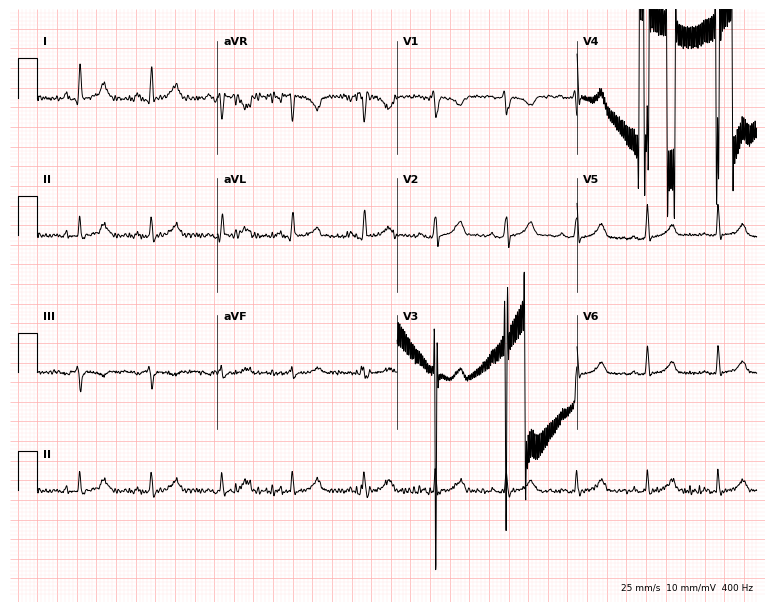
Standard 12-lead ECG recorded from a female patient, 37 years old. None of these six findings is recorded: first-degree AV block, right bundle branch block, left bundle branch block, sinus bradycardia, atrial fibrillation, sinus tachycardia. Only these six findings were labelled.